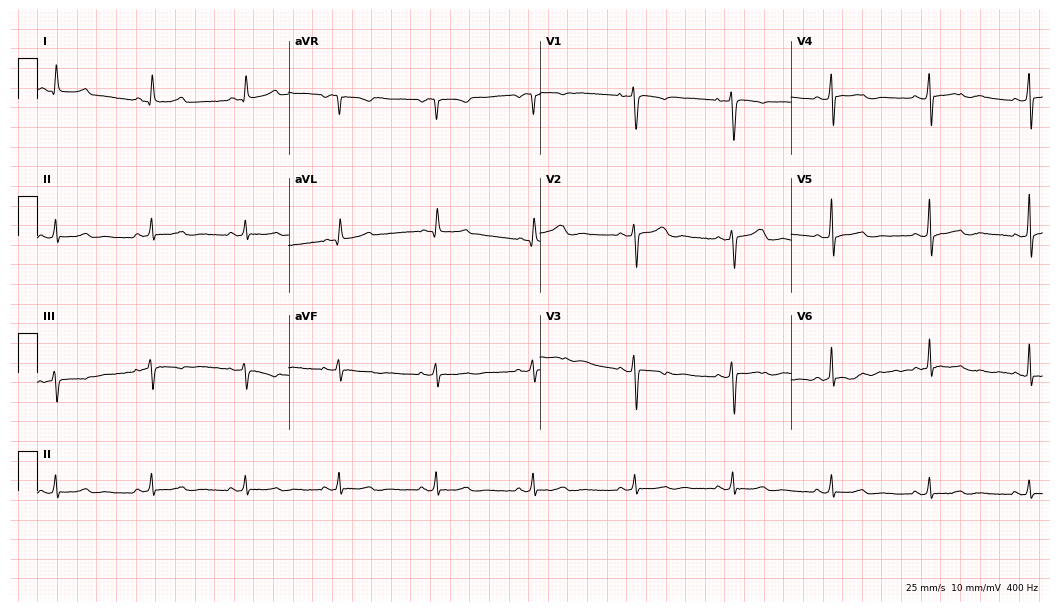
ECG — a female patient, 39 years old. Screened for six findings — first-degree AV block, right bundle branch block (RBBB), left bundle branch block (LBBB), sinus bradycardia, atrial fibrillation (AF), sinus tachycardia — none is recorded. Only these six findings were labelled.